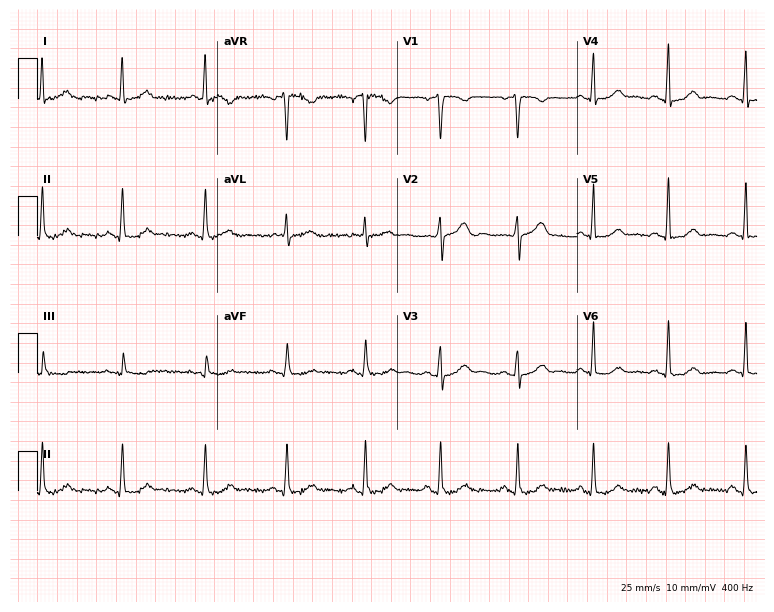
ECG — a woman, 43 years old. Labelled as a normal ECG.